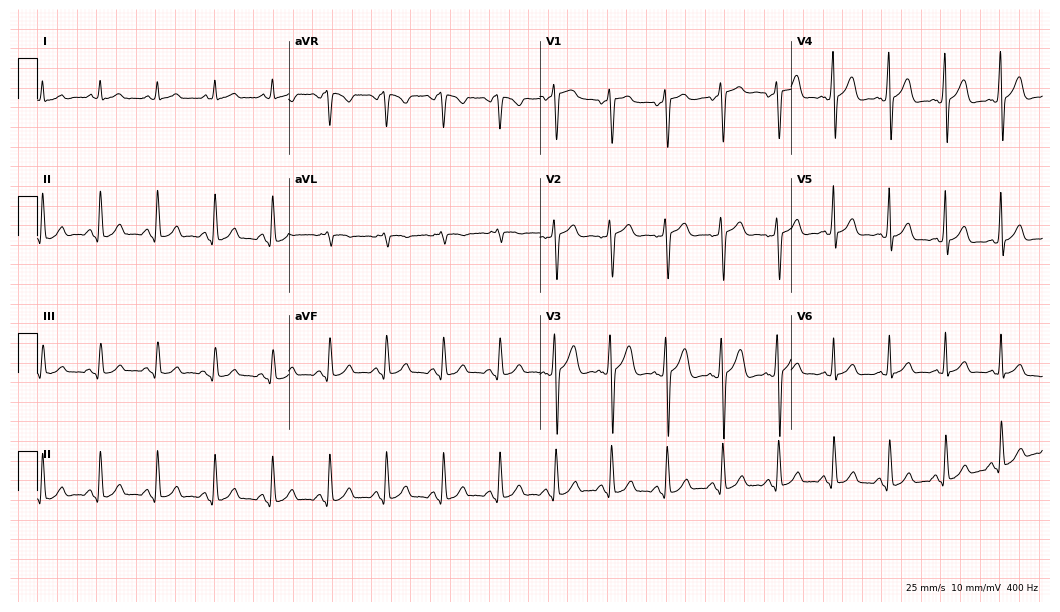
12-lead ECG (10.2-second recording at 400 Hz) from a man, 62 years old. Findings include sinus tachycardia (a sinus rate of 100 beats per minute or more).